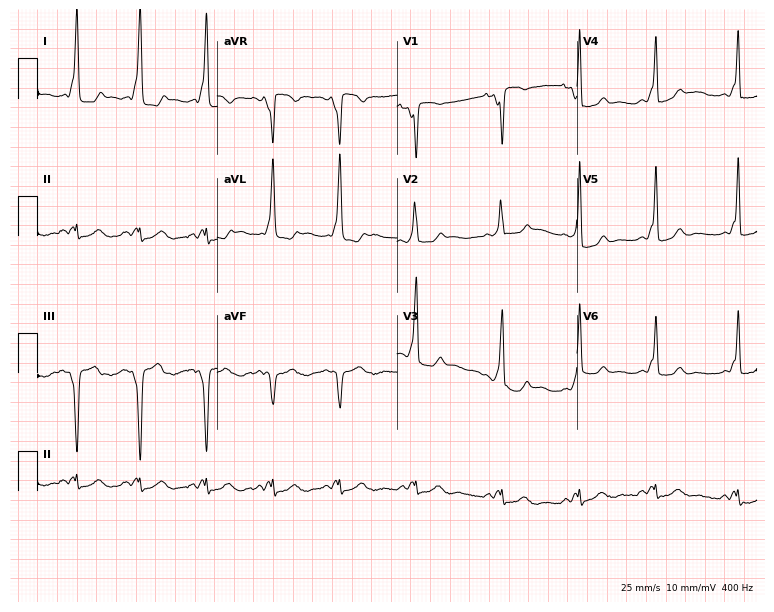
Electrocardiogram (7.3-second recording at 400 Hz), a 29-year-old female. Of the six screened findings (first-degree AV block, right bundle branch block, left bundle branch block, sinus bradycardia, atrial fibrillation, sinus tachycardia), none is recorded. Other findings, if any, are not listed.